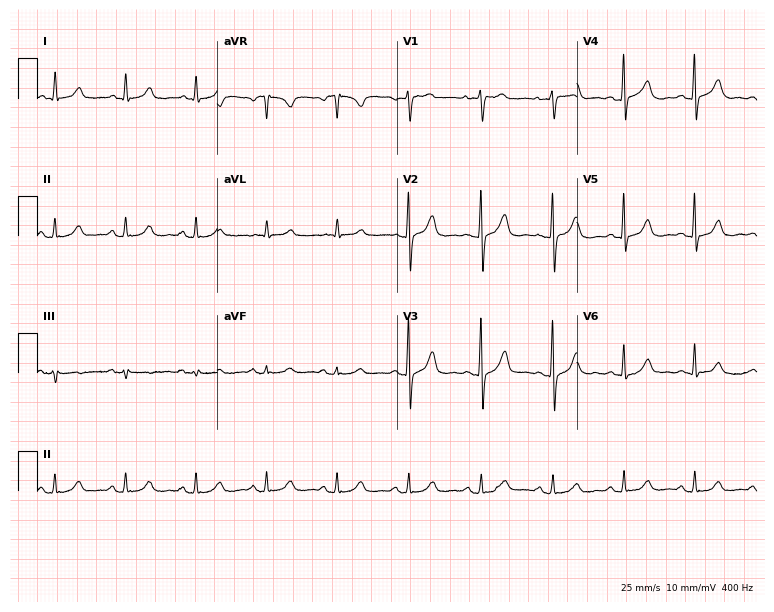
Standard 12-lead ECG recorded from a female patient, 73 years old (7.3-second recording at 400 Hz). Read as a normal ECG.